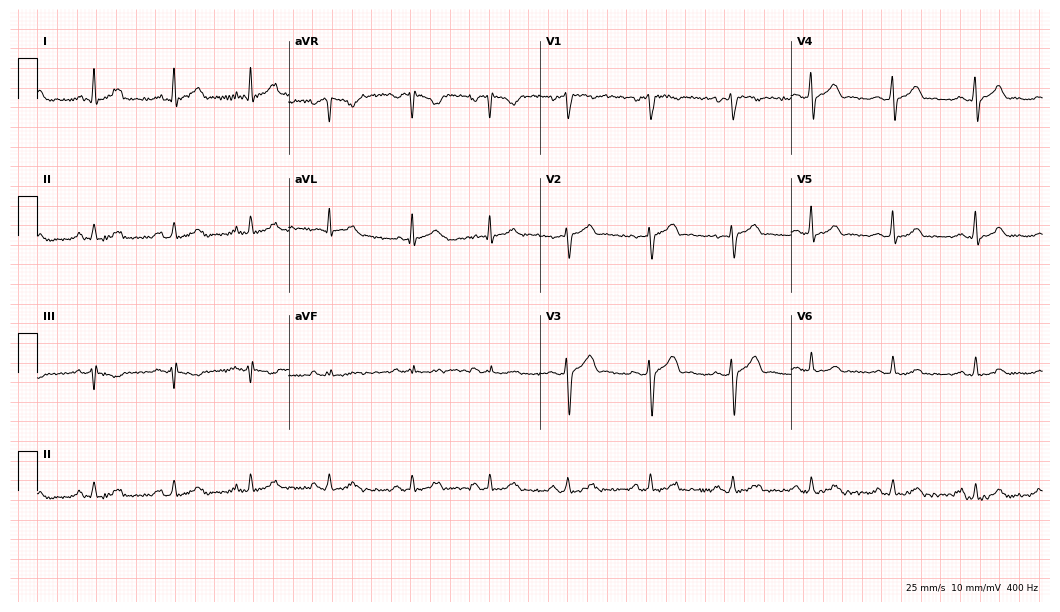
Resting 12-lead electrocardiogram (10.2-second recording at 400 Hz). Patient: a 36-year-old man. Read as a normal ECG.